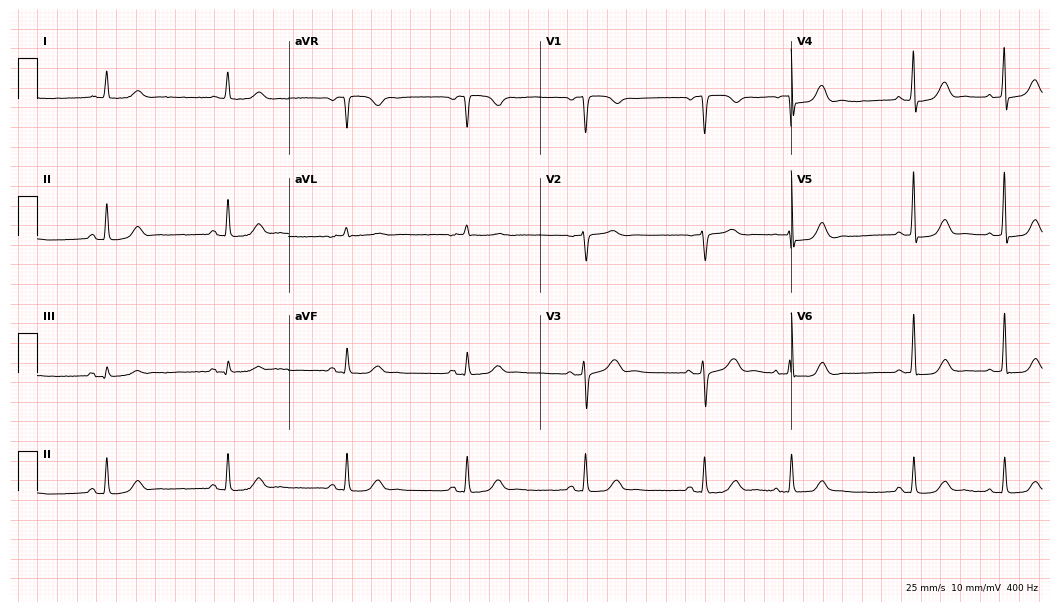
Standard 12-lead ECG recorded from a woman, 81 years old (10.2-second recording at 400 Hz). Read as a normal ECG.